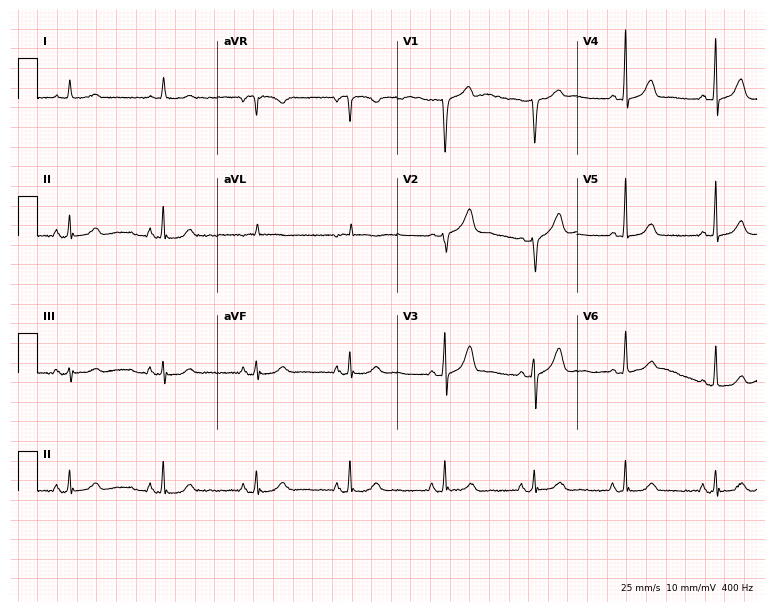
Resting 12-lead electrocardiogram. Patient: a female, 80 years old. None of these six findings is recorded: first-degree AV block, right bundle branch block, left bundle branch block, sinus bradycardia, atrial fibrillation, sinus tachycardia. Only these six findings were labelled.